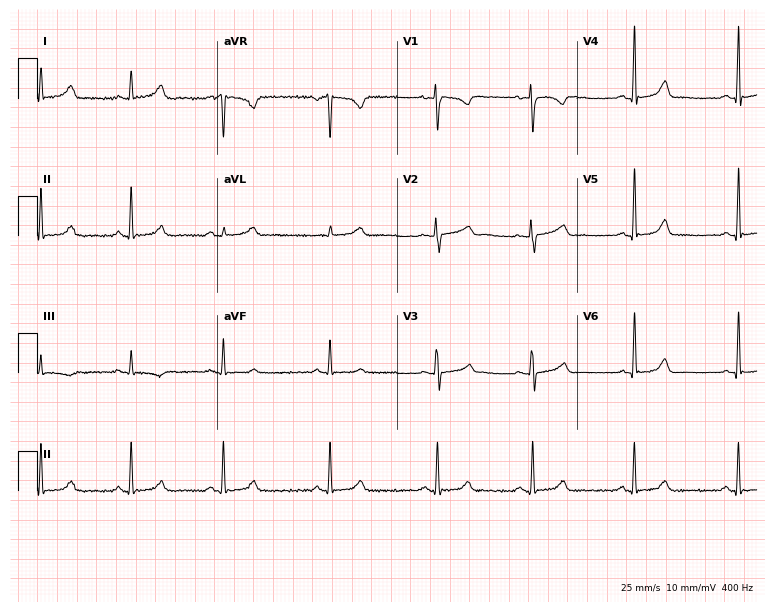
ECG — a female, 38 years old. Labelled as a normal ECG.